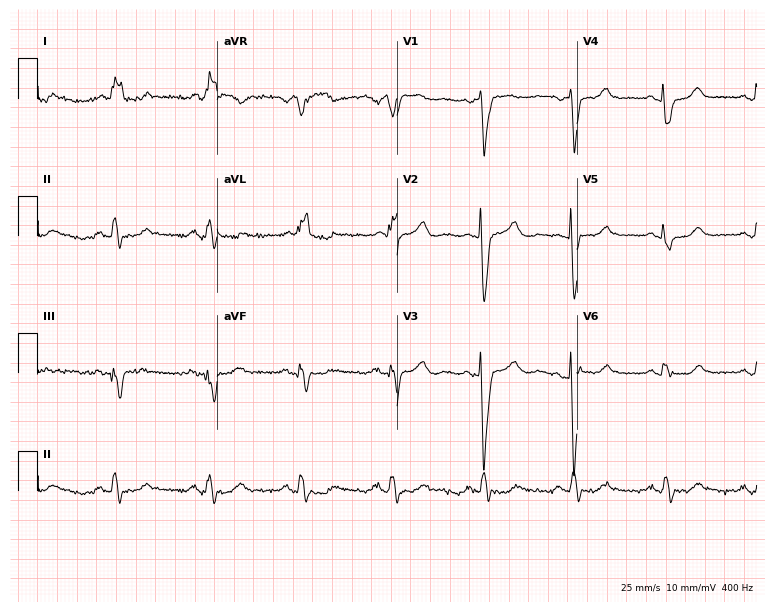
ECG (7.3-second recording at 400 Hz) — a female patient, 70 years old. Findings include left bundle branch block.